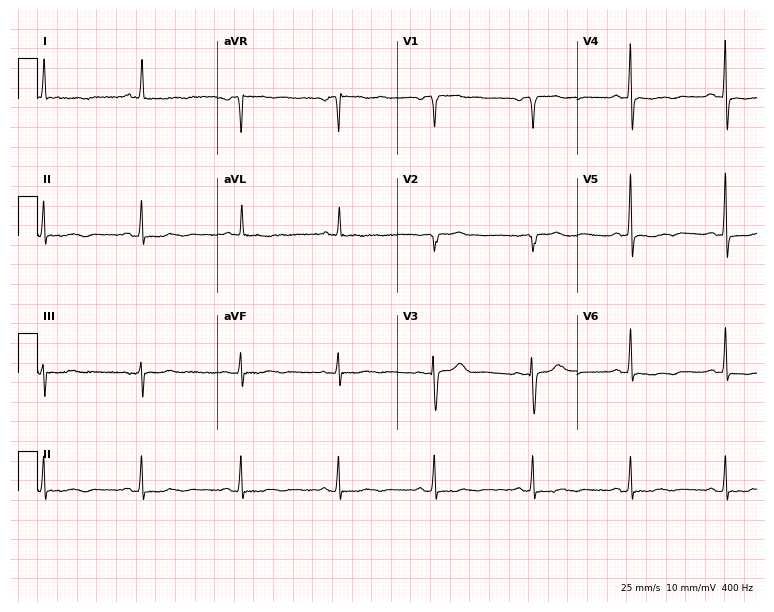
ECG — a 68-year-old woman. Screened for six findings — first-degree AV block, right bundle branch block, left bundle branch block, sinus bradycardia, atrial fibrillation, sinus tachycardia — none is recorded.